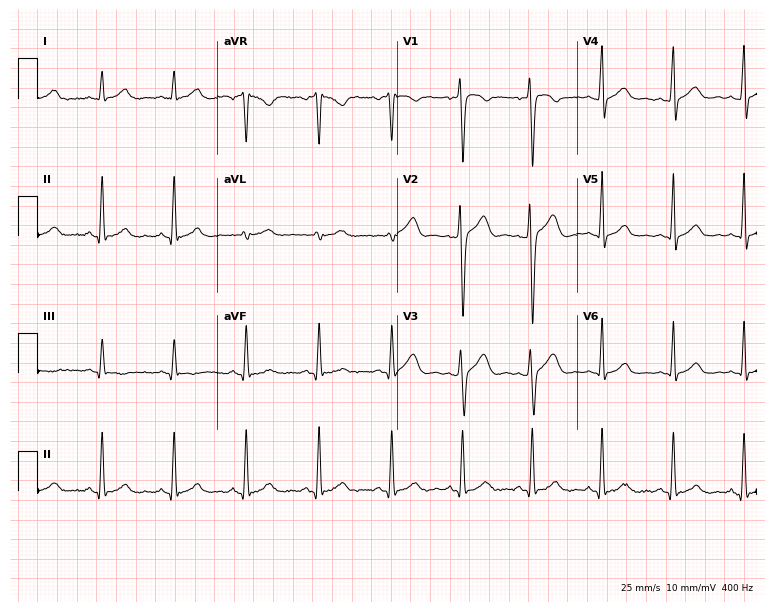
12-lead ECG from a male, 25 years old. Screened for six findings — first-degree AV block, right bundle branch block, left bundle branch block, sinus bradycardia, atrial fibrillation, sinus tachycardia — none is recorded.